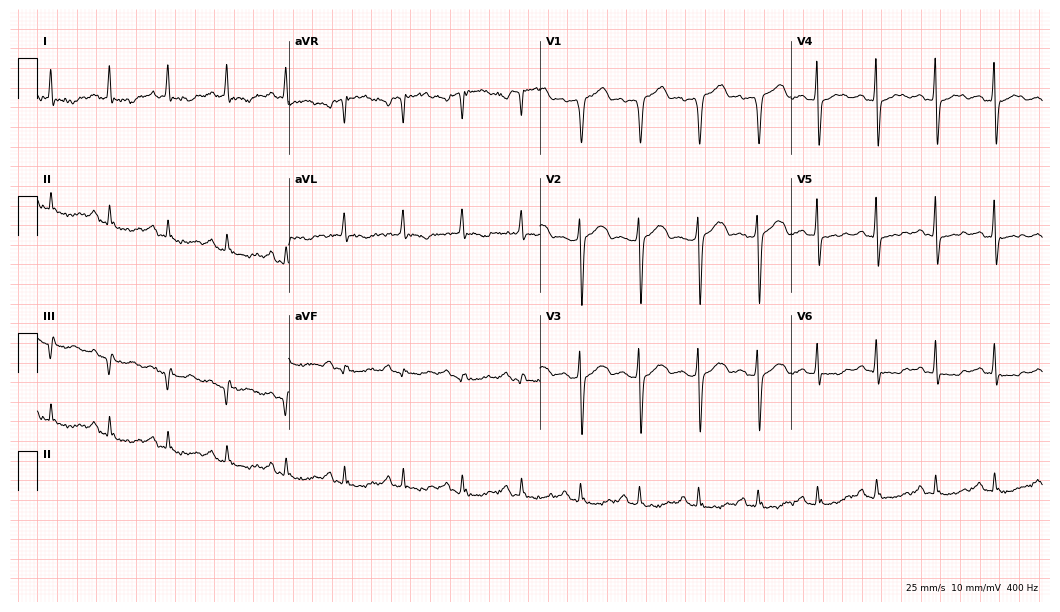
Electrocardiogram (10.2-second recording at 400 Hz), a male patient, 75 years old. Of the six screened findings (first-degree AV block, right bundle branch block, left bundle branch block, sinus bradycardia, atrial fibrillation, sinus tachycardia), none is recorded. Only these six findings were labelled.